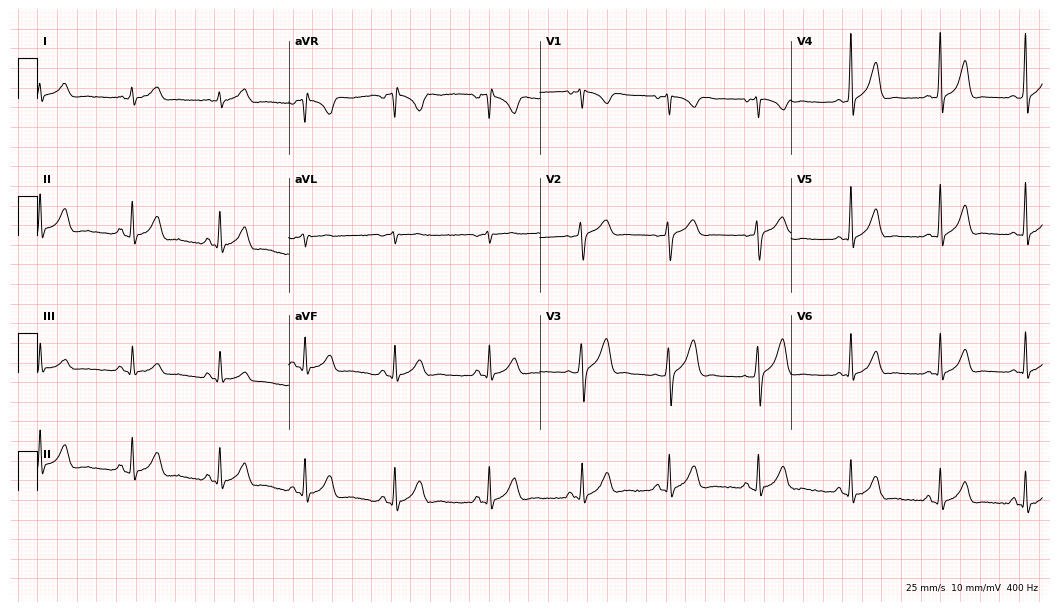
ECG (10.2-second recording at 400 Hz) — a 24-year-old male. Labelled as a normal ECG.